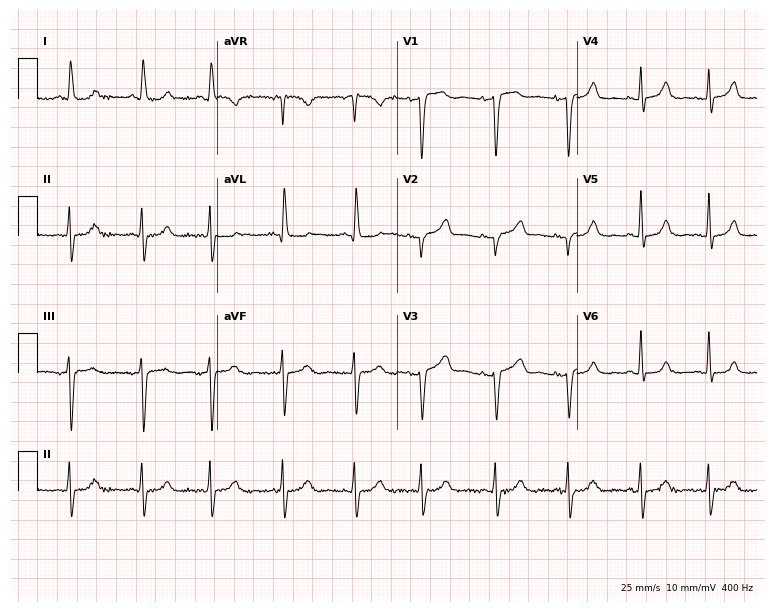
Standard 12-lead ECG recorded from an 81-year-old female patient (7.3-second recording at 400 Hz). None of these six findings is recorded: first-degree AV block, right bundle branch block, left bundle branch block, sinus bradycardia, atrial fibrillation, sinus tachycardia.